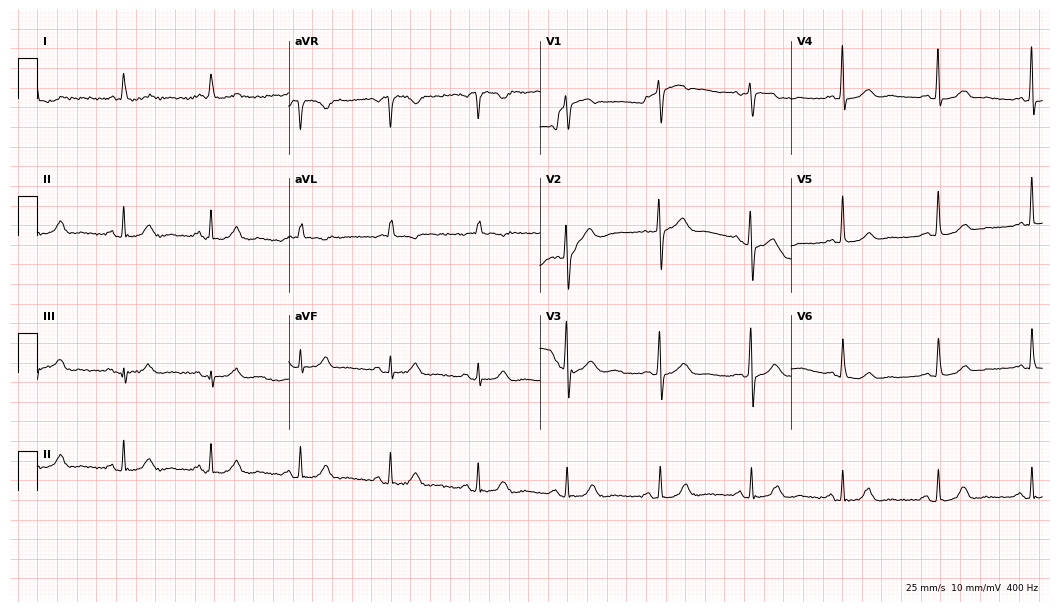
Electrocardiogram, a female patient, 73 years old. Overall reading on record: normal ECG.